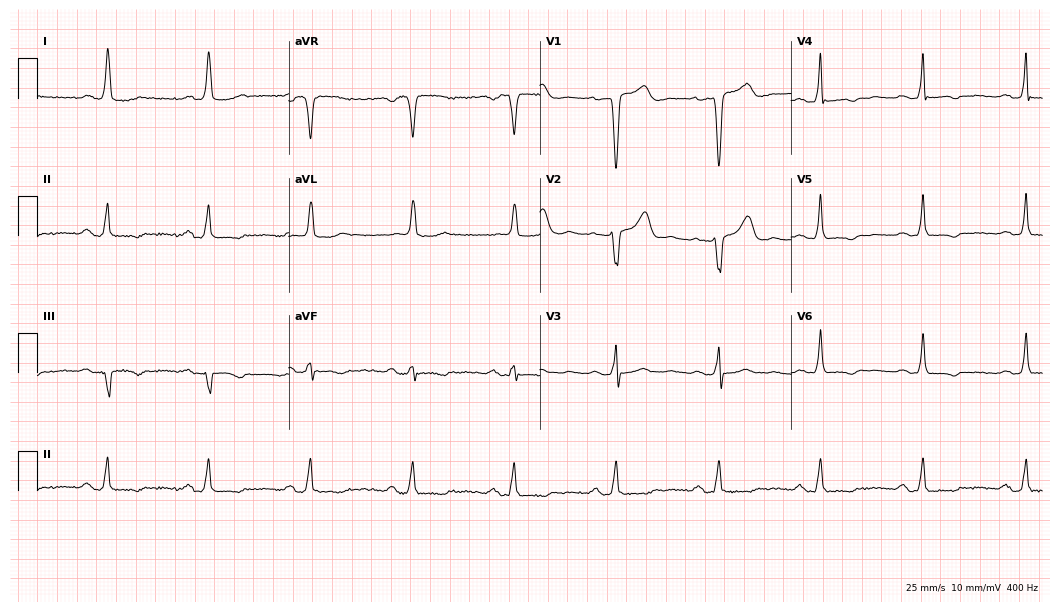
12-lead ECG (10.2-second recording at 400 Hz) from a female, 74 years old. Findings include first-degree AV block.